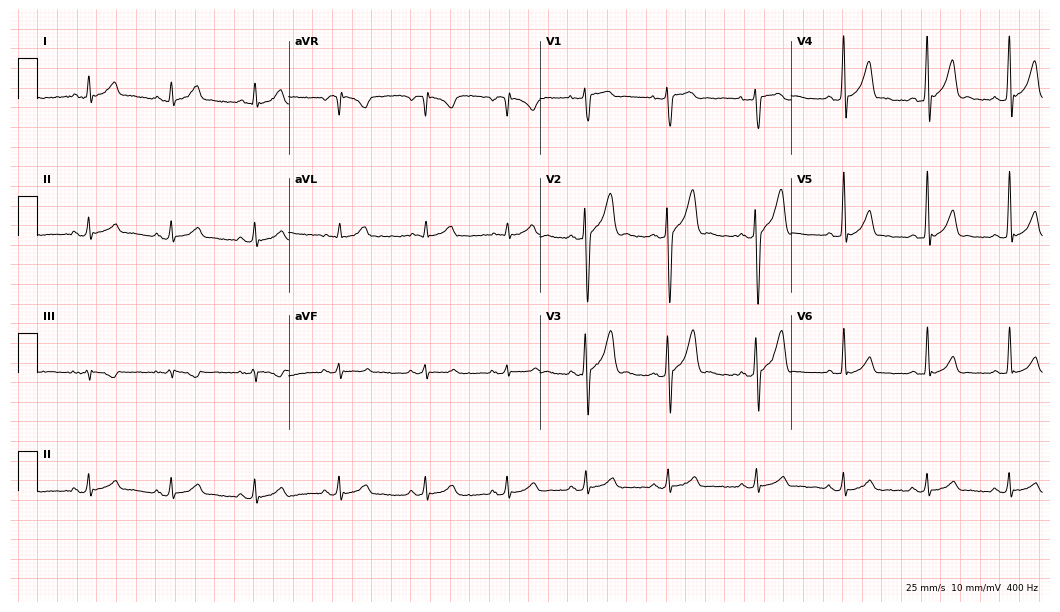
12-lead ECG from a 28-year-old male (10.2-second recording at 400 Hz). Recorded interpretation: within normal limits.